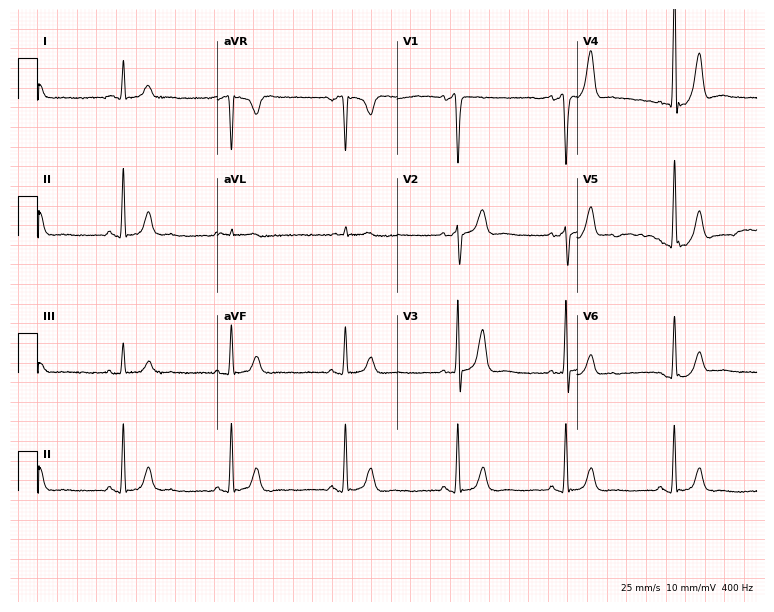
12-lead ECG from a man, 59 years old. Recorded interpretation: within normal limits.